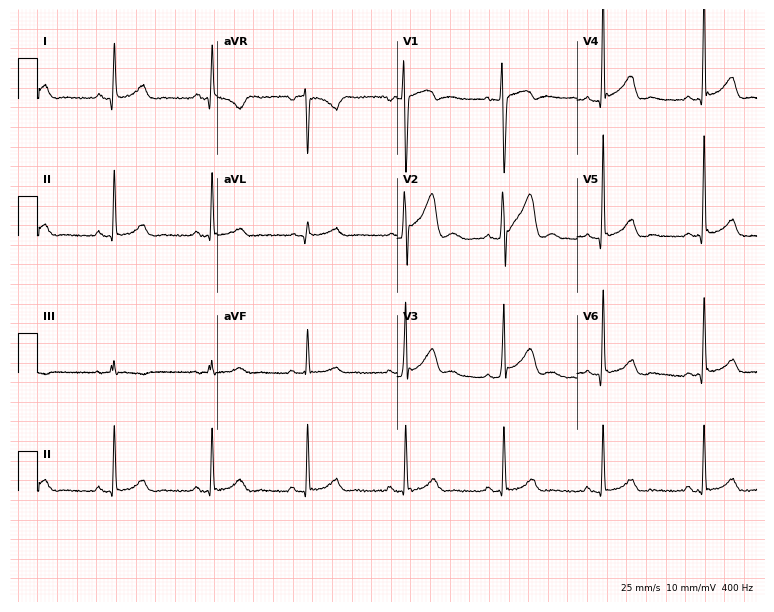
12-lead ECG from a 42-year-old man. Screened for six findings — first-degree AV block, right bundle branch block, left bundle branch block, sinus bradycardia, atrial fibrillation, sinus tachycardia — none is recorded.